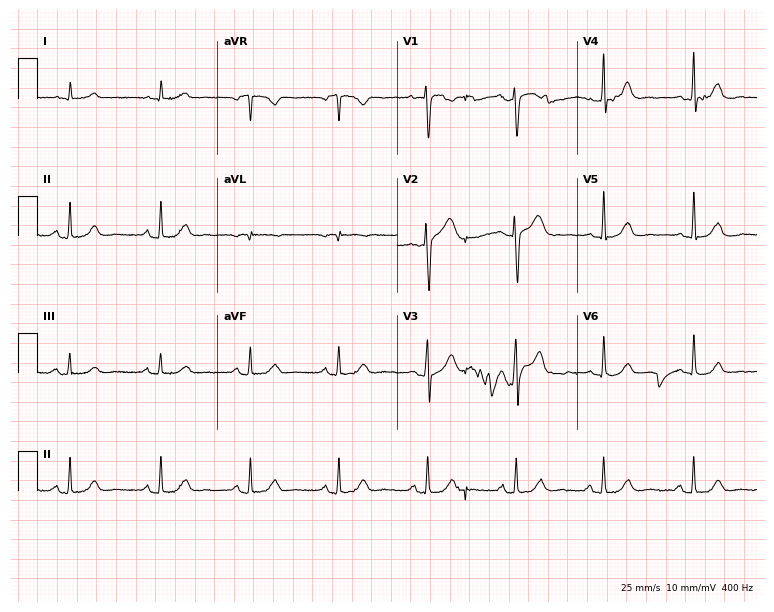
ECG (7.3-second recording at 400 Hz) — a 48-year-old man. Labelled as a normal ECG.